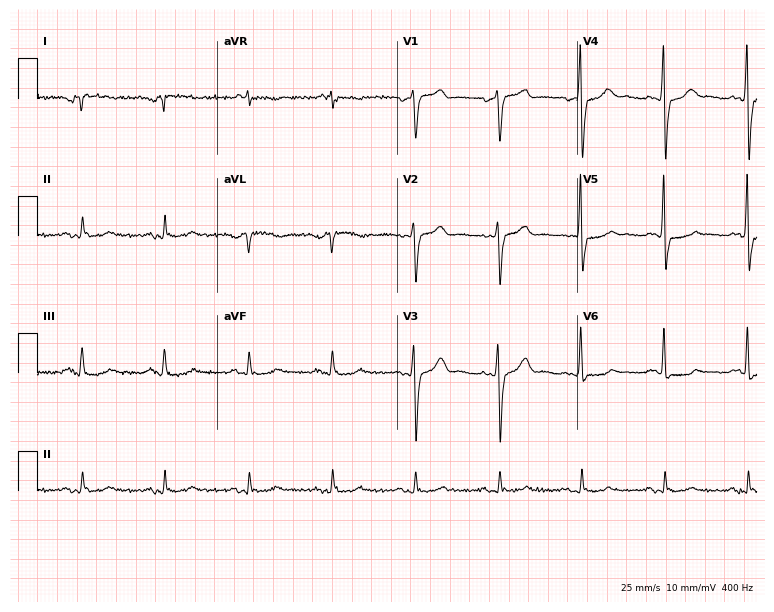
Electrocardiogram (7.3-second recording at 400 Hz), a 59-year-old male patient. Of the six screened findings (first-degree AV block, right bundle branch block (RBBB), left bundle branch block (LBBB), sinus bradycardia, atrial fibrillation (AF), sinus tachycardia), none is recorded.